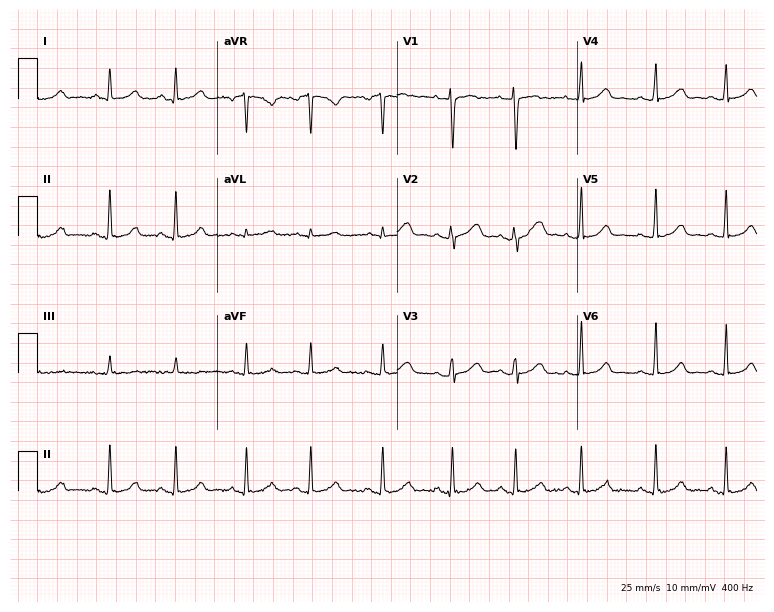
Resting 12-lead electrocardiogram (7.3-second recording at 400 Hz). Patient: a female, 22 years old. None of these six findings is recorded: first-degree AV block, right bundle branch block (RBBB), left bundle branch block (LBBB), sinus bradycardia, atrial fibrillation (AF), sinus tachycardia.